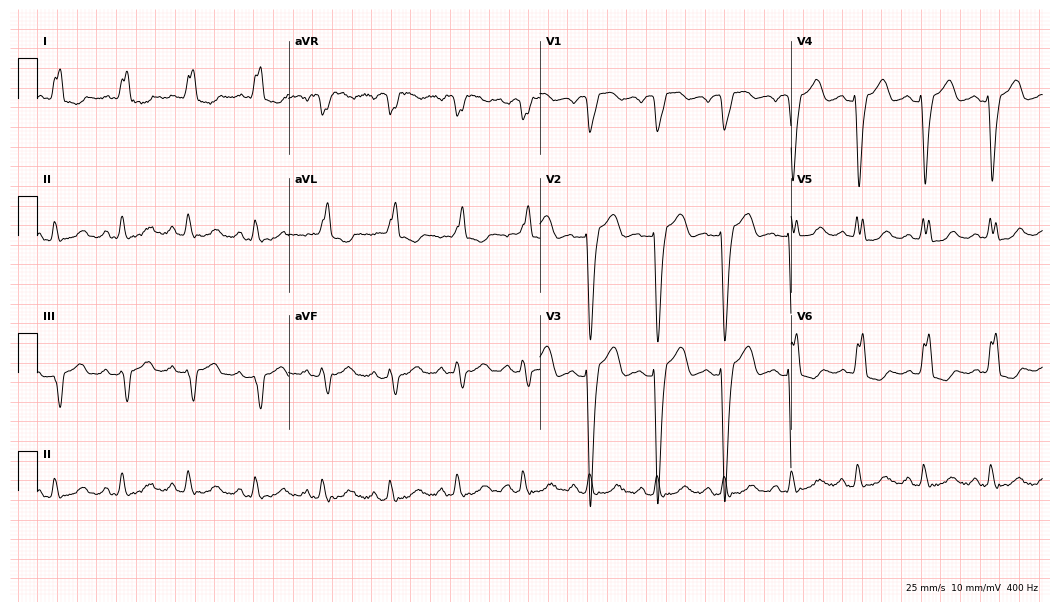
Electrocardiogram (10.2-second recording at 400 Hz), an 82-year-old female. Interpretation includes left bundle branch block (LBBB).